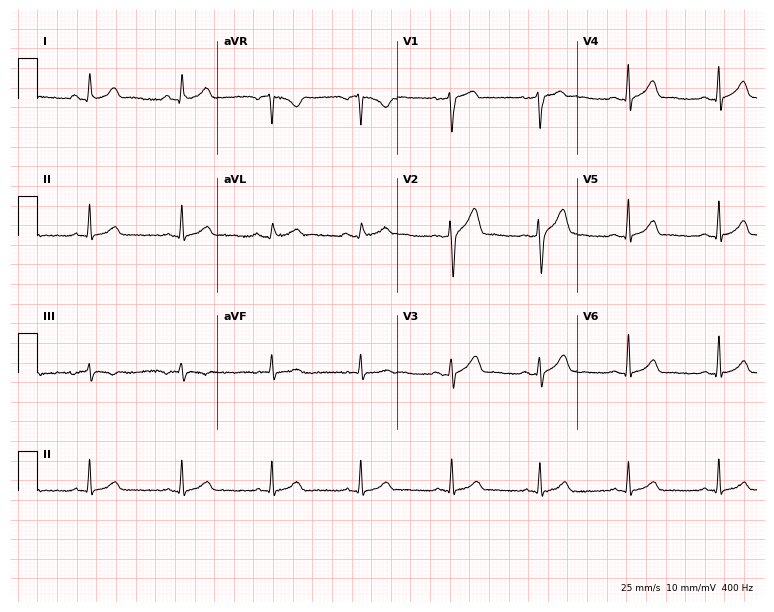
12-lead ECG from a man, 45 years old (7.3-second recording at 400 Hz). Recorded interpretation: within normal limits.